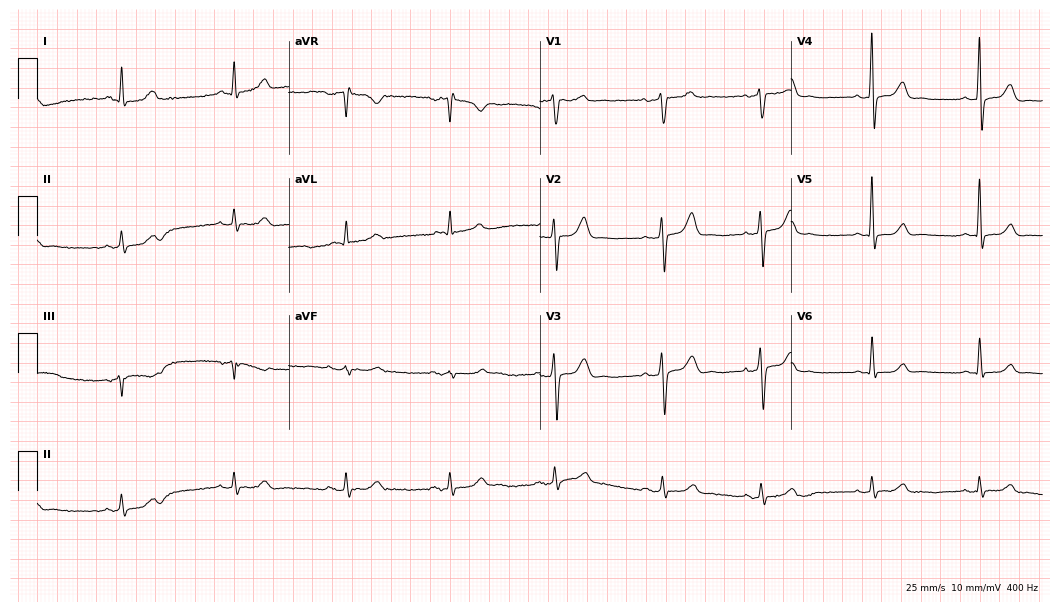
ECG (10.2-second recording at 400 Hz) — a 53-year-old male patient. Labelled as a normal ECG.